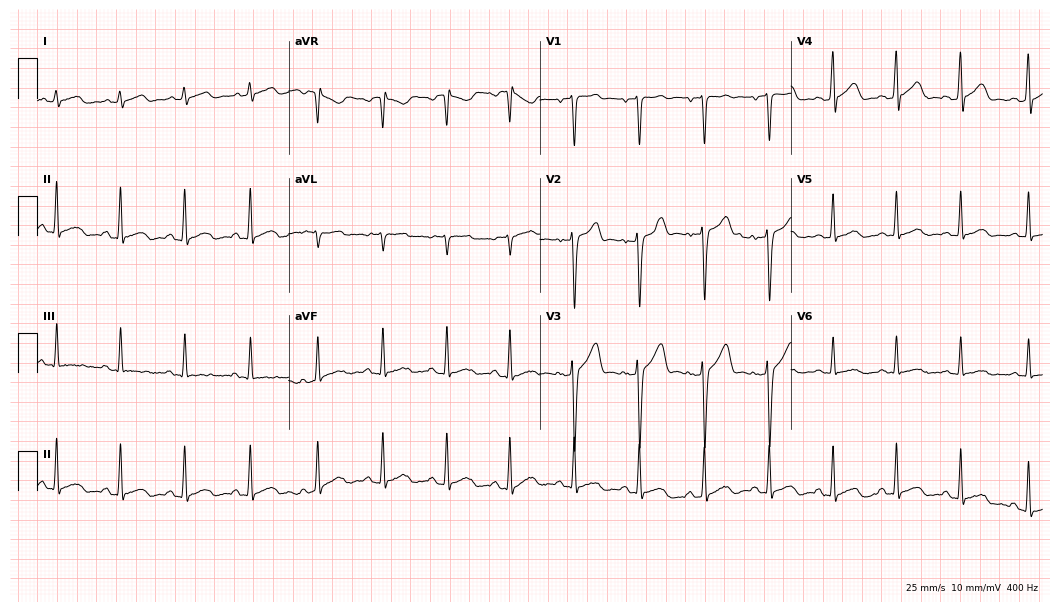
Resting 12-lead electrocardiogram (10.2-second recording at 400 Hz). Patient: a 26-year-old male. Read as a normal ECG.